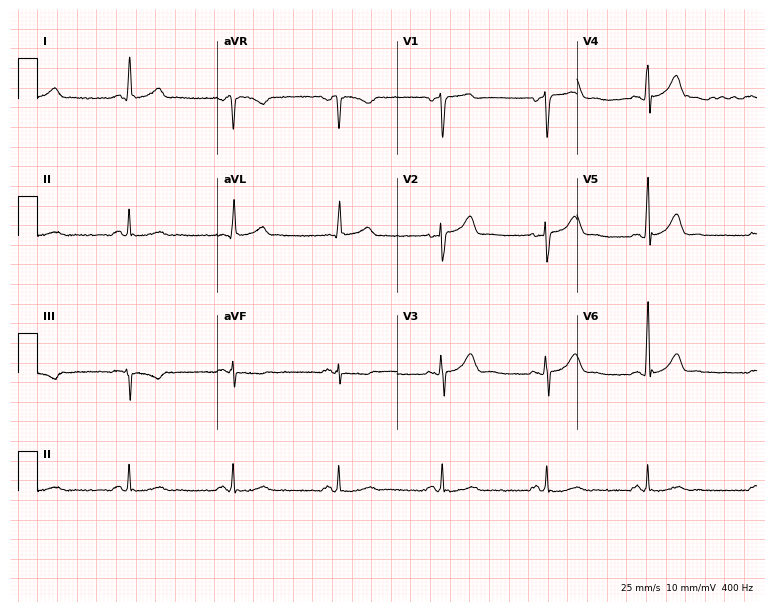
12-lead ECG from a male patient, 58 years old (7.3-second recording at 400 Hz). No first-degree AV block, right bundle branch block (RBBB), left bundle branch block (LBBB), sinus bradycardia, atrial fibrillation (AF) or sinus tachycardia recorded for this tracing. Only these six findings were labelled.